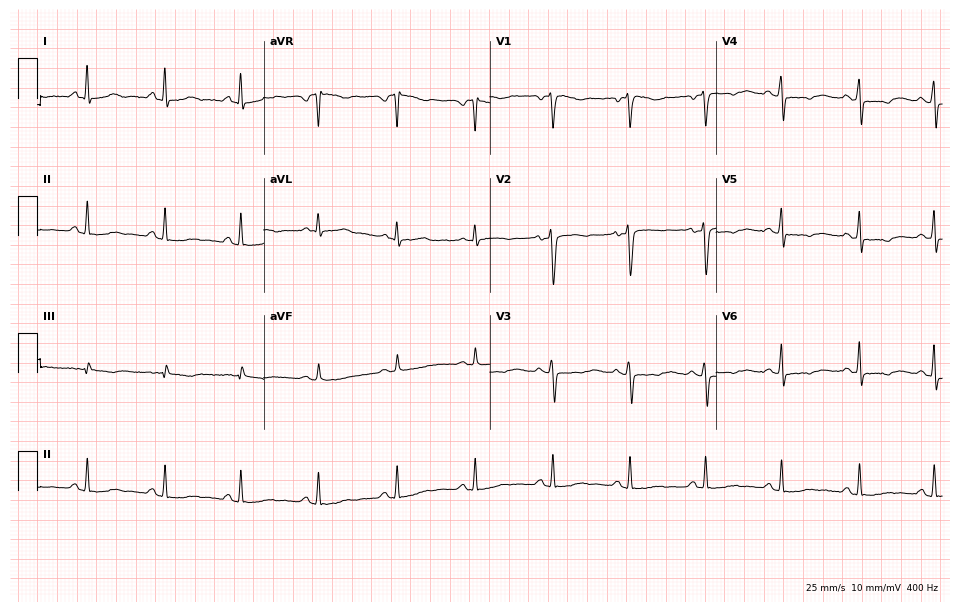
12-lead ECG from a 39-year-old female (9.2-second recording at 400 Hz). Recorded interpretation: within normal limits.